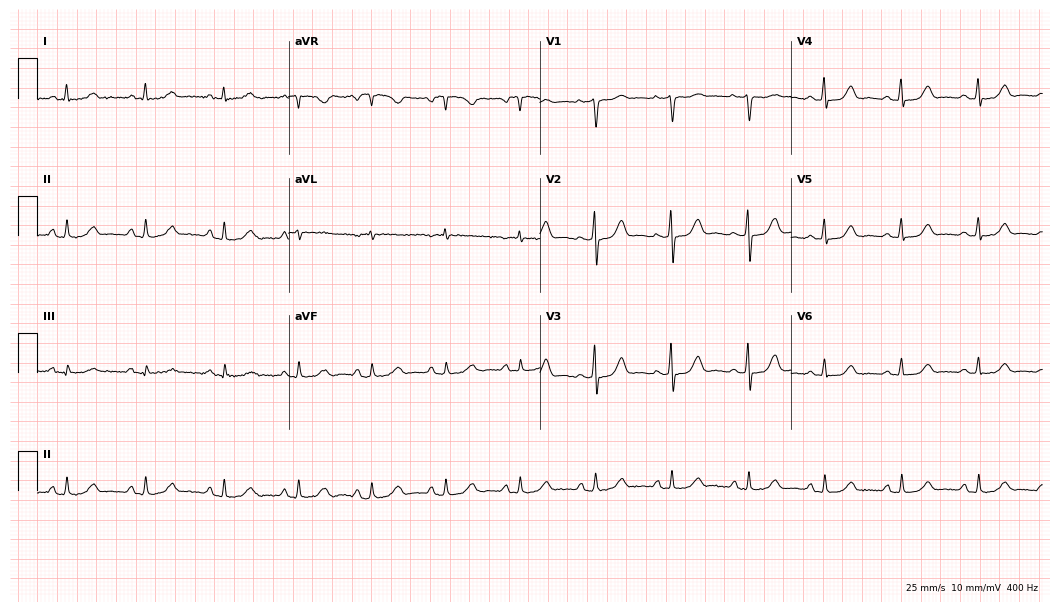
Electrocardiogram, a 61-year-old woman. Of the six screened findings (first-degree AV block, right bundle branch block, left bundle branch block, sinus bradycardia, atrial fibrillation, sinus tachycardia), none is recorded. Only these six findings were labelled.